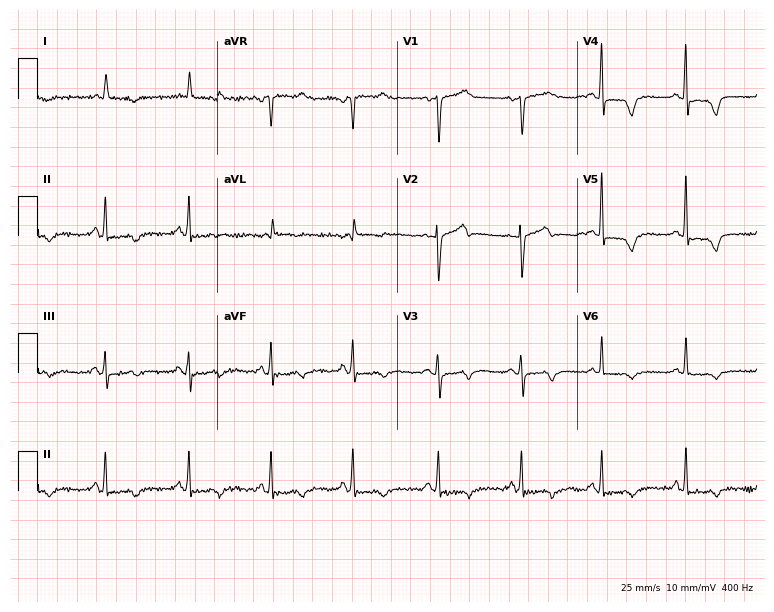
12-lead ECG from an 84-year-old female patient. No first-degree AV block, right bundle branch block, left bundle branch block, sinus bradycardia, atrial fibrillation or sinus tachycardia recorded for this tracing.